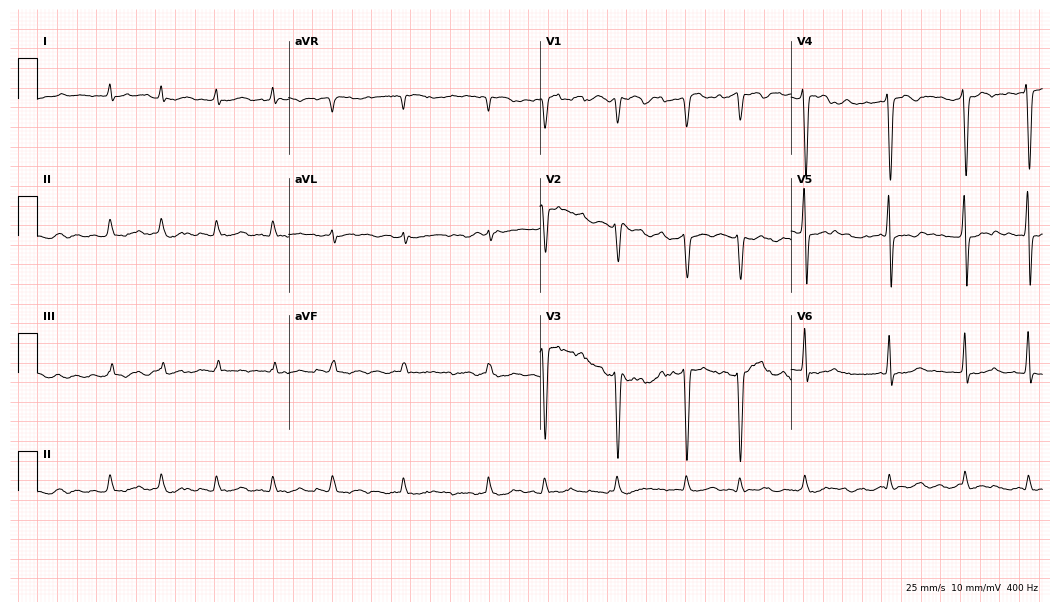
12-lead ECG from a 66-year-old man (10.2-second recording at 400 Hz). No first-degree AV block, right bundle branch block (RBBB), left bundle branch block (LBBB), sinus bradycardia, atrial fibrillation (AF) or sinus tachycardia recorded for this tracing. Other findings, if any, are not listed.